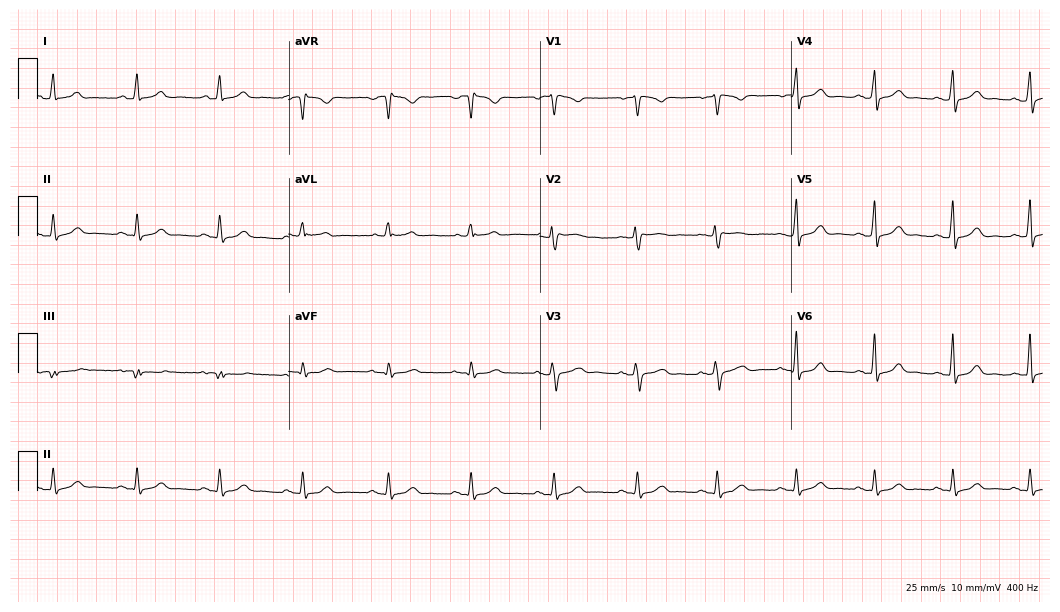
12-lead ECG from a 39-year-old female. Recorded interpretation: within normal limits.